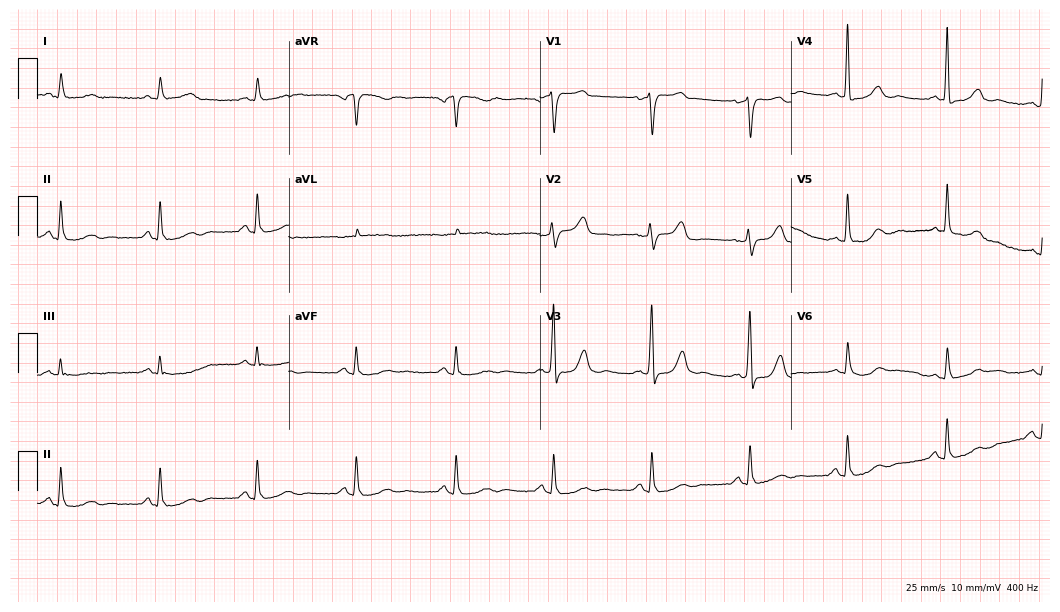
Resting 12-lead electrocardiogram. Patient: a 76-year-old female. None of these six findings is recorded: first-degree AV block, right bundle branch block, left bundle branch block, sinus bradycardia, atrial fibrillation, sinus tachycardia.